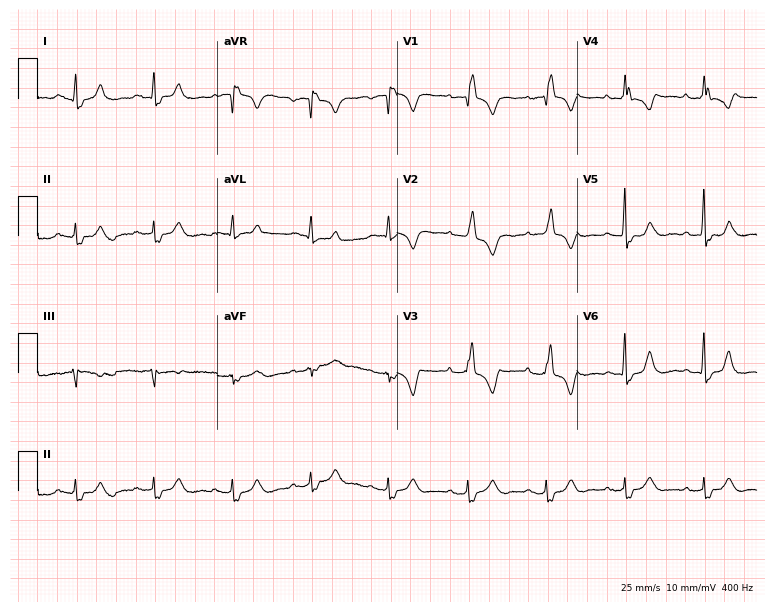
Standard 12-lead ECG recorded from a 73-year-old woman. The tracing shows right bundle branch block (RBBB).